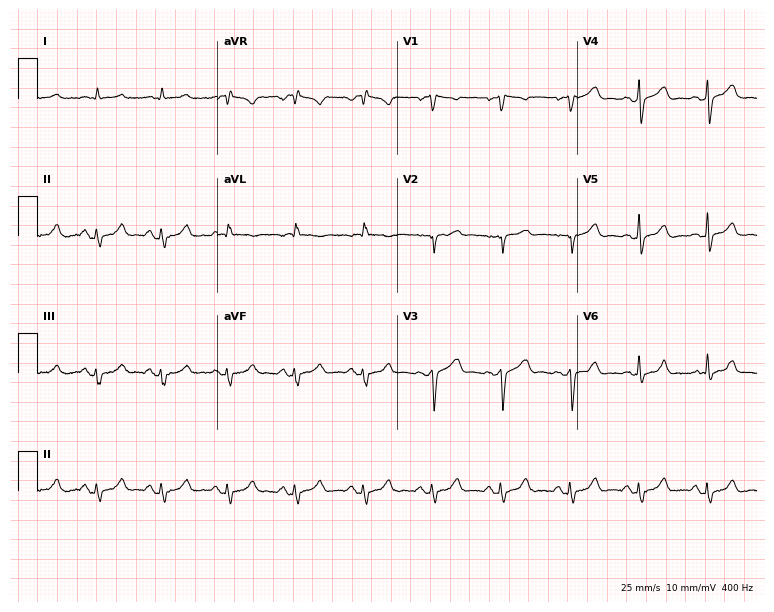
Standard 12-lead ECG recorded from a 64-year-old man (7.3-second recording at 400 Hz). Read as a normal ECG.